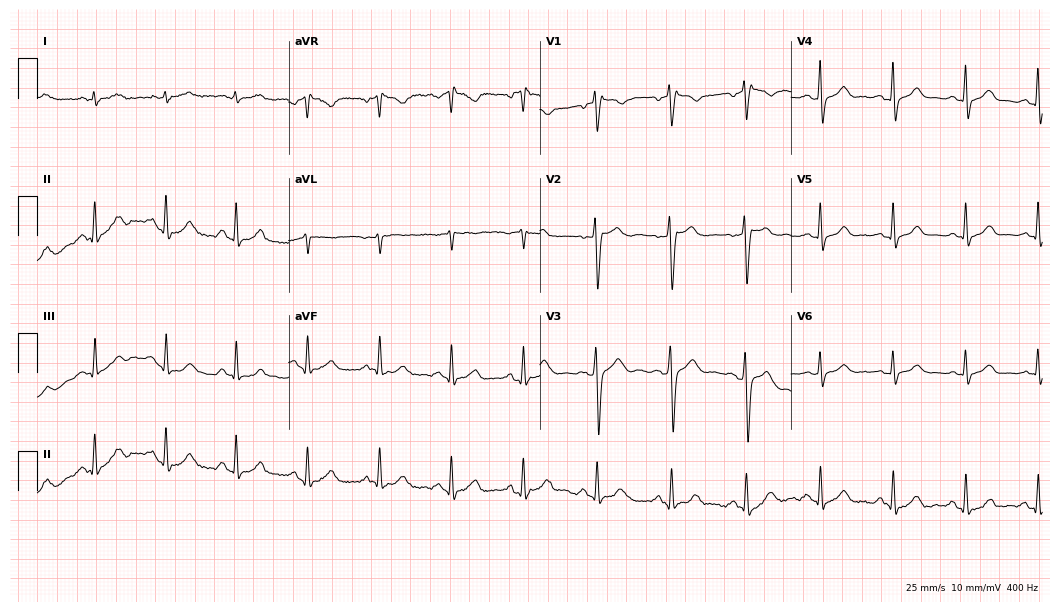
ECG — a 51-year-old man. Screened for six findings — first-degree AV block, right bundle branch block (RBBB), left bundle branch block (LBBB), sinus bradycardia, atrial fibrillation (AF), sinus tachycardia — none is recorded.